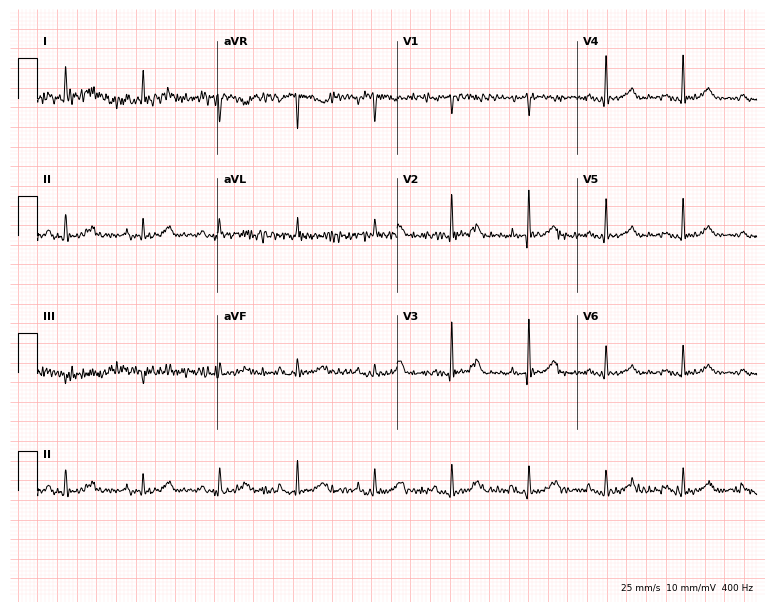
Standard 12-lead ECG recorded from a female, 77 years old (7.3-second recording at 400 Hz). None of these six findings is recorded: first-degree AV block, right bundle branch block, left bundle branch block, sinus bradycardia, atrial fibrillation, sinus tachycardia. Findings outside these six are not listed.